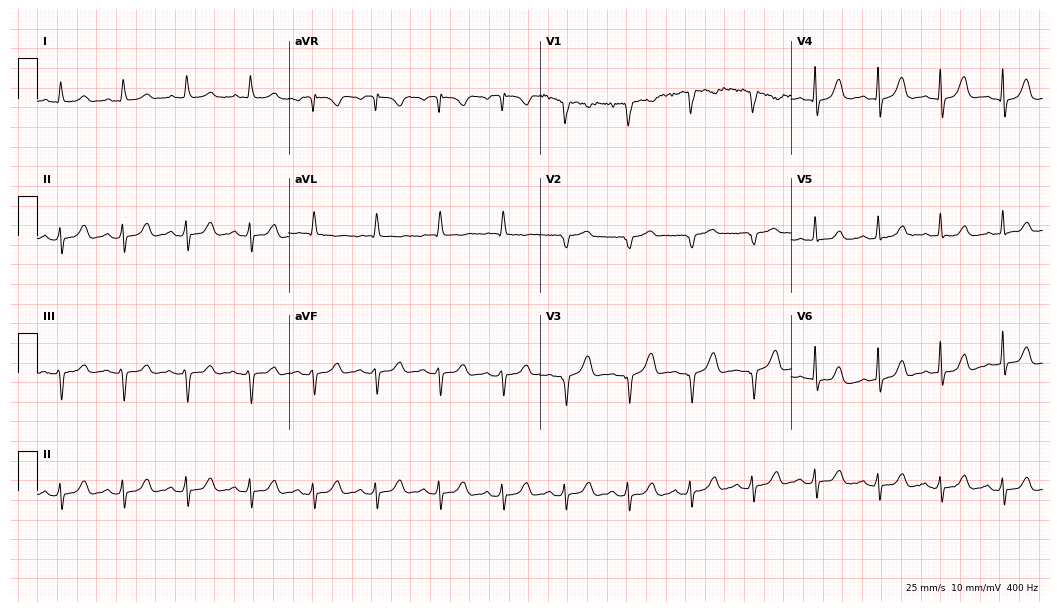
ECG — an 85-year-old man. Screened for six findings — first-degree AV block, right bundle branch block, left bundle branch block, sinus bradycardia, atrial fibrillation, sinus tachycardia — none is recorded.